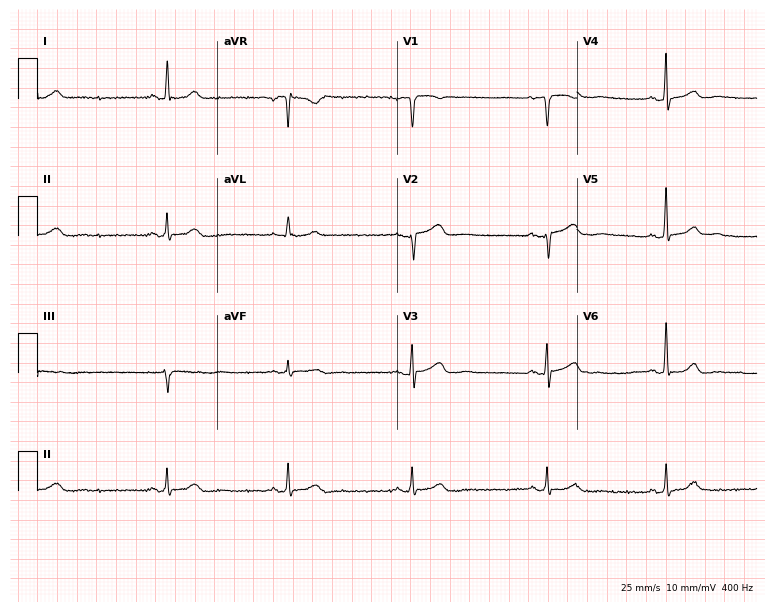
12-lead ECG (7.3-second recording at 400 Hz) from a 71-year-old woman. Findings include sinus bradycardia (a sinus rate of 50 beats per minute or less).